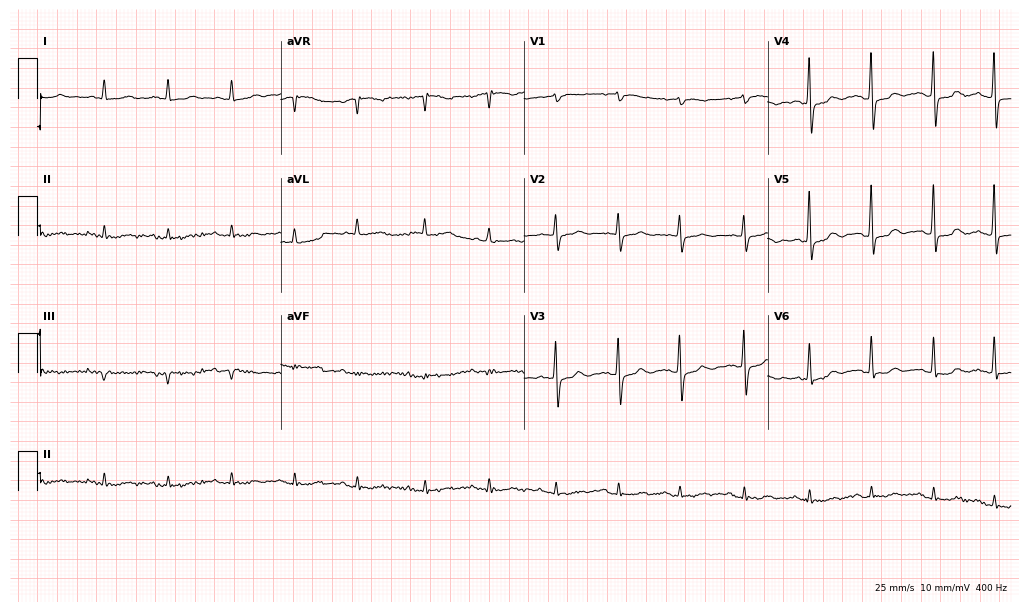
Electrocardiogram (9.9-second recording at 400 Hz), a woman, 88 years old. Of the six screened findings (first-degree AV block, right bundle branch block (RBBB), left bundle branch block (LBBB), sinus bradycardia, atrial fibrillation (AF), sinus tachycardia), none is recorded. Only these six findings were labelled.